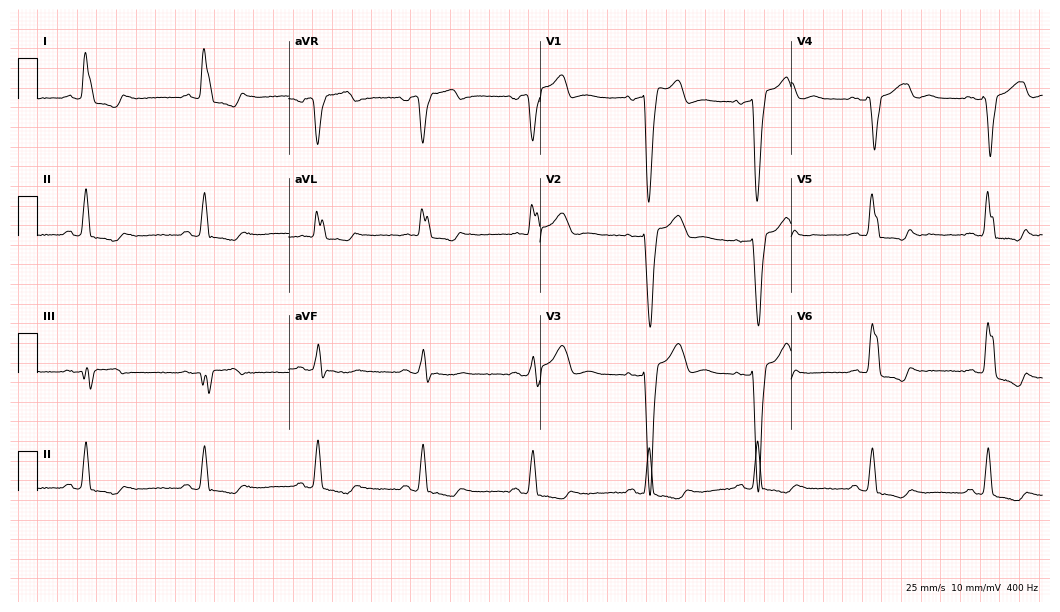
Electrocardiogram (10.2-second recording at 400 Hz), a 61-year-old female patient. Interpretation includes left bundle branch block.